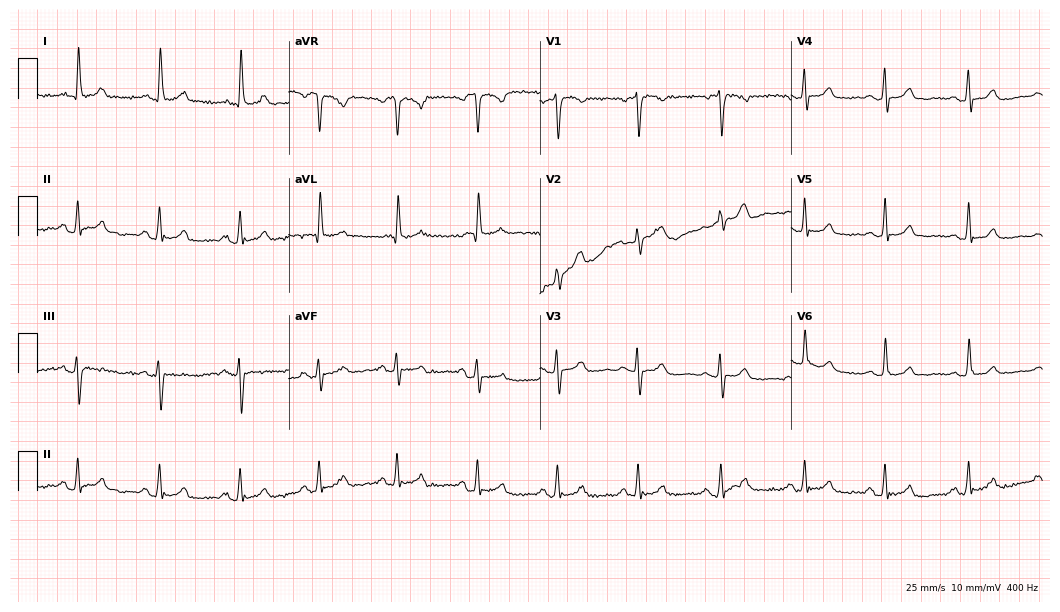
12-lead ECG from a female, 66 years old. No first-degree AV block, right bundle branch block, left bundle branch block, sinus bradycardia, atrial fibrillation or sinus tachycardia recorded for this tracing. Other findings, if any, are not listed.